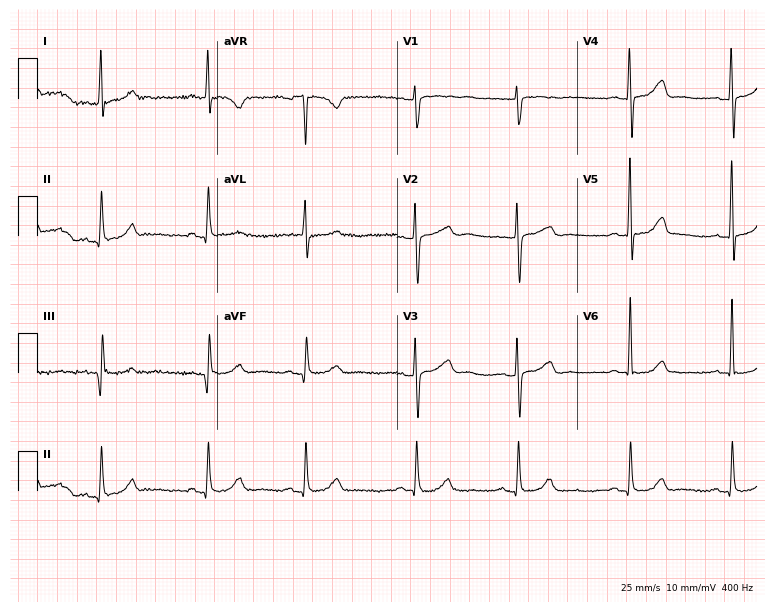
Standard 12-lead ECG recorded from a 61-year-old female patient. Read as a normal ECG.